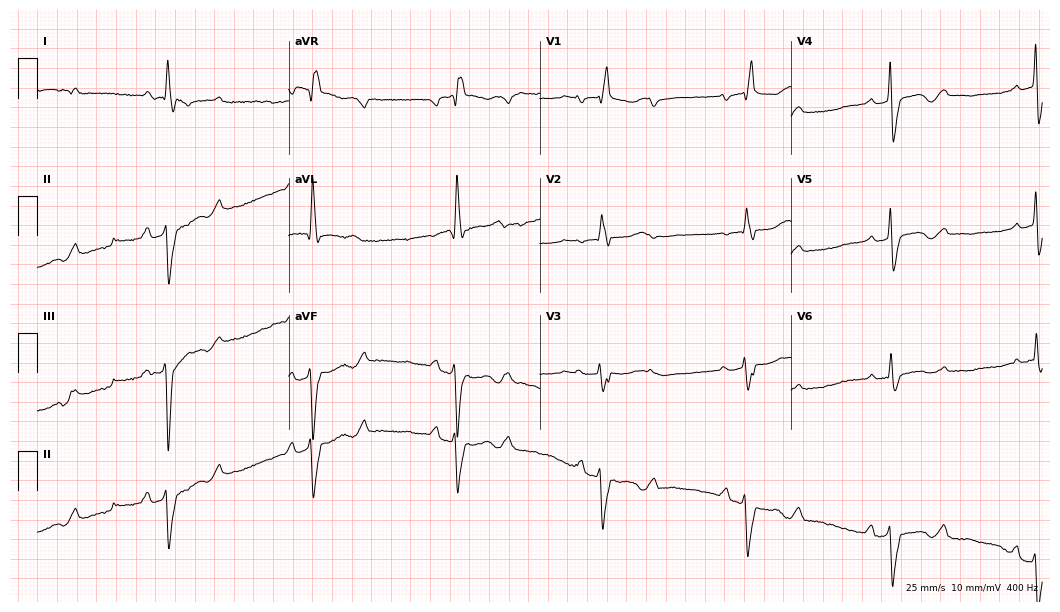
12-lead ECG from a woman, 83 years old. Findings include right bundle branch block, sinus bradycardia (a sinus rate of 50 beats per minute or less).